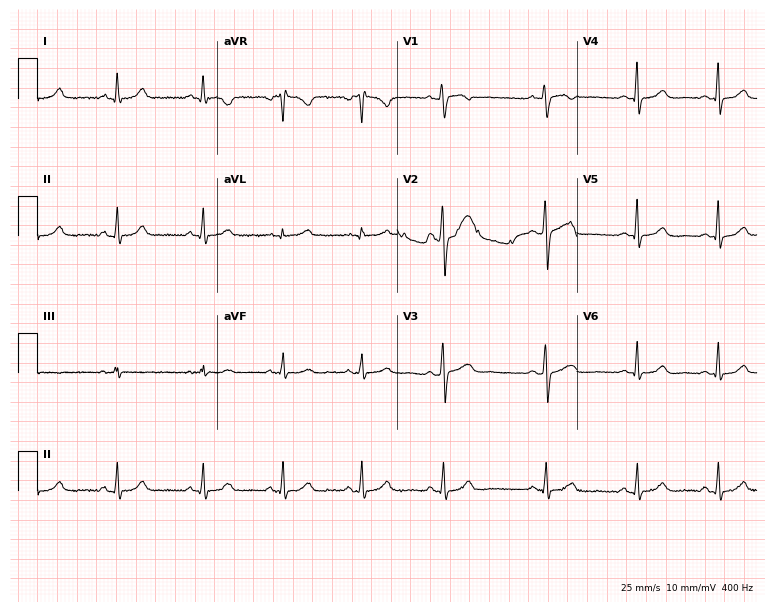
12-lead ECG from a woman, 33 years old (7.3-second recording at 400 Hz). No first-degree AV block, right bundle branch block, left bundle branch block, sinus bradycardia, atrial fibrillation or sinus tachycardia recorded for this tracing.